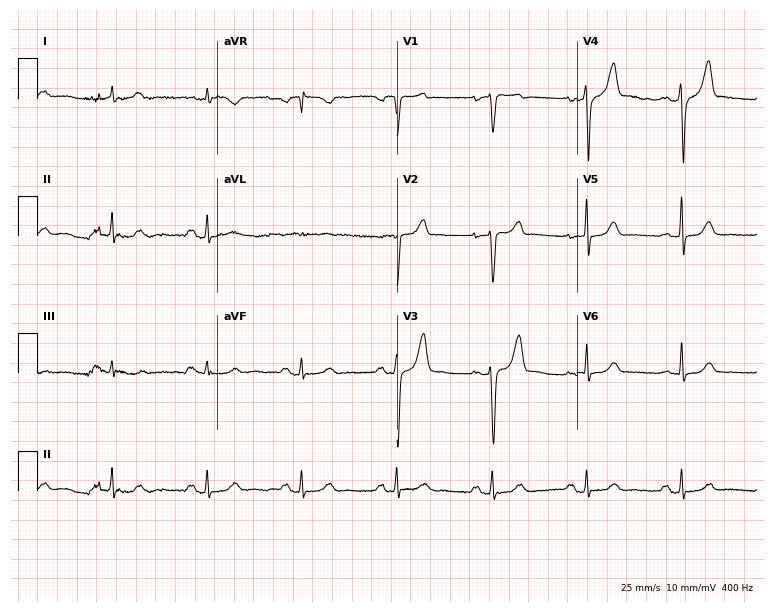
Resting 12-lead electrocardiogram (7.3-second recording at 400 Hz). Patient: a male, 59 years old. None of these six findings is recorded: first-degree AV block, right bundle branch block, left bundle branch block, sinus bradycardia, atrial fibrillation, sinus tachycardia. Findings outside these six are not listed.